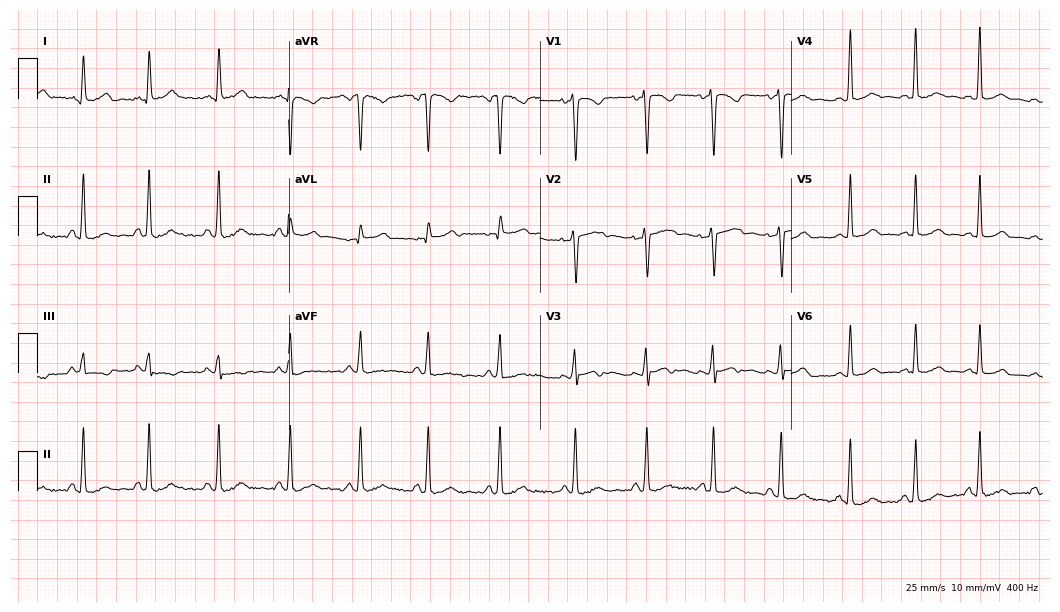
12-lead ECG from a 26-year-old woman (10.2-second recording at 400 Hz). Recorded interpretation: within normal limits.